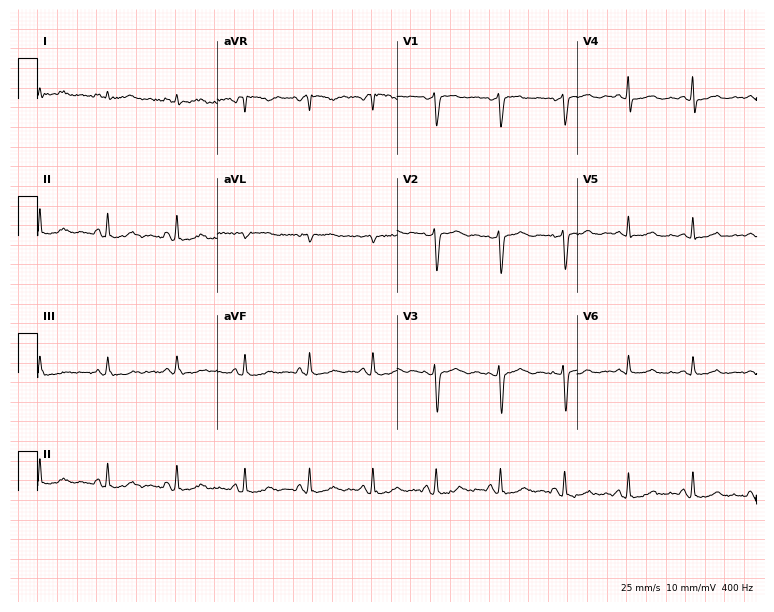
12-lead ECG from a woman, 34 years old (7.3-second recording at 400 Hz). No first-degree AV block, right bundle branch block, left bundle branch block, sinus bradycardia, atrial fibrillation or sinus tachycardia recorded for this tracing. Only these six findings were labelled.